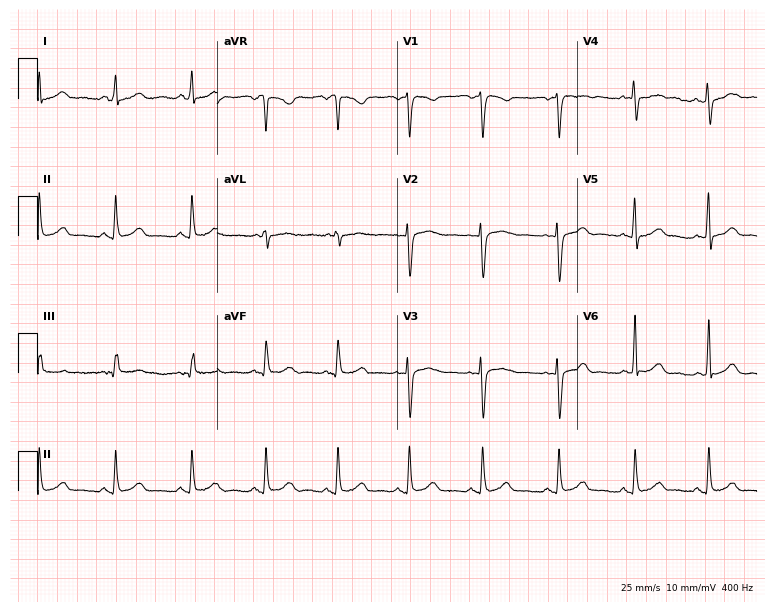
Electrocardiogram, a female patient, 51 years old. Overall reading on record: normal ECG.